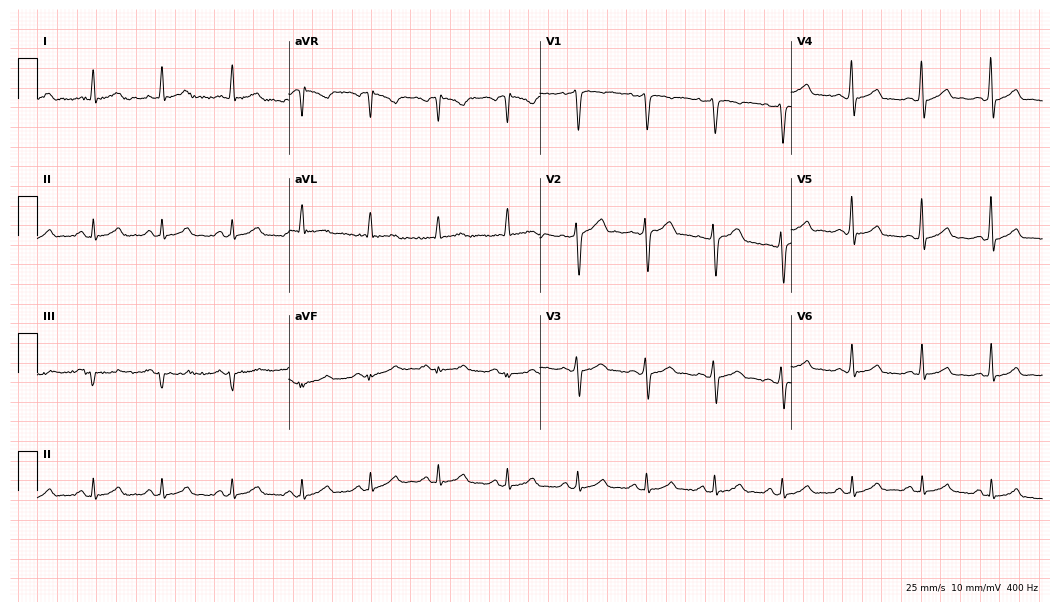
Standard 12-lead ECG recorded from a 56-year-old male patient. Read as a normal ECG.